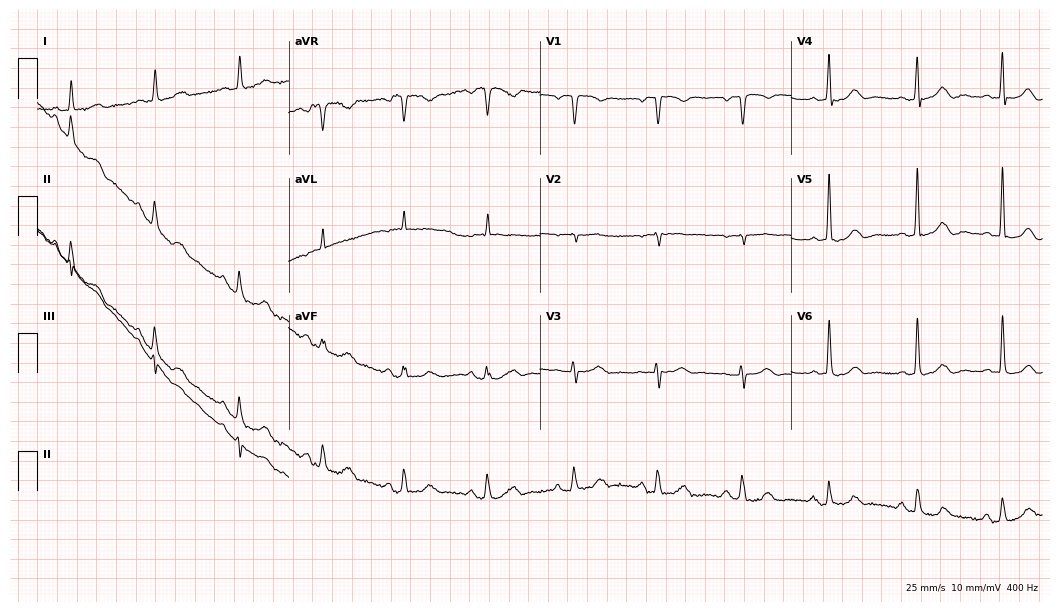
Resting 12-lead electrocardiogram (10.2-second recording at 400 Hz). Patient: a 76-year-old female. None of these six findings is recorded: first-degree AV block, right bundle branch block, left bundle branch block, sinus bradycardia, atrial fibrillation, sinus tachycardia. Findings outside these six are not listed.